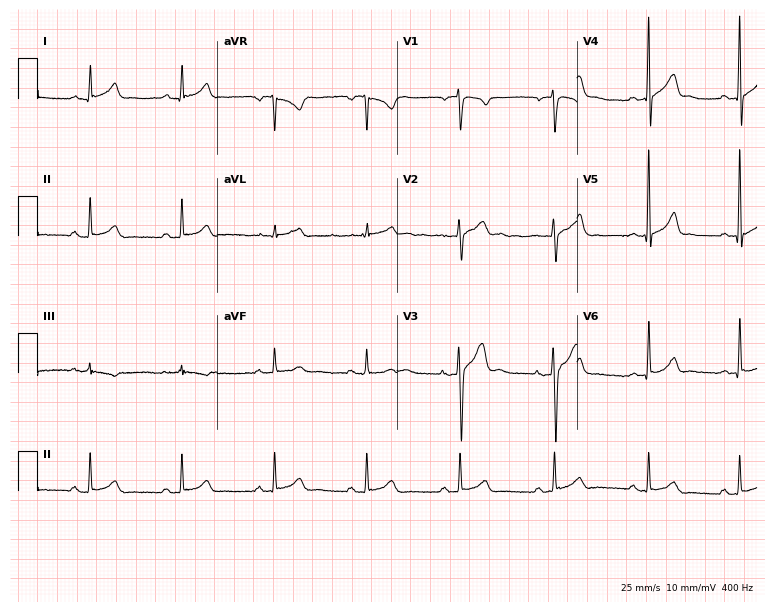
Resting 12-lead electrocardiogram. Patient: a male, 50 years old. None of these six findings is recorded: first-degree AV block, right bundle branch block (RBBB), left bundle branch block (LBBB), sinus bradycardia, atrial fibrillation (AF), sinus tachycardia.